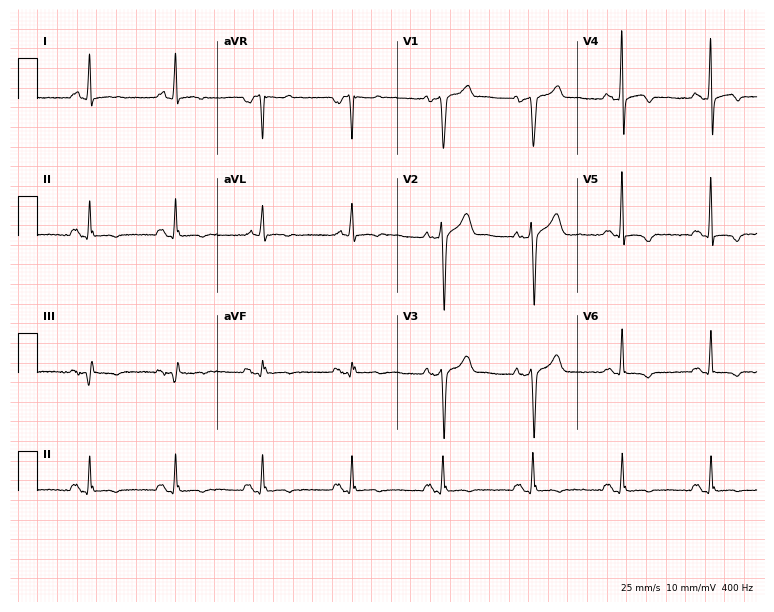
ECG (7.3-second recording at 400 Hz) — a man, 61 years old. Screened for six findings — first-degree AV block, right bundle branch block, left bundle branch block, sinus bradycardia, atrial fibrillation, sinus tachycardia — none is recorded. Findings outside these six are not listed.